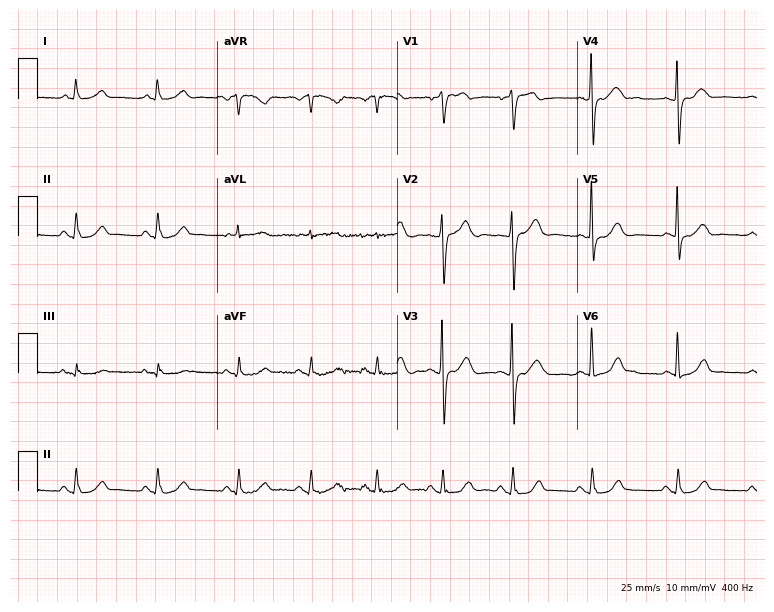
Resting 12-lead electrocardiogram (7.3-second recording at 400 Hz). Patient: a 54-year-old woman. Read as a normal ECG.